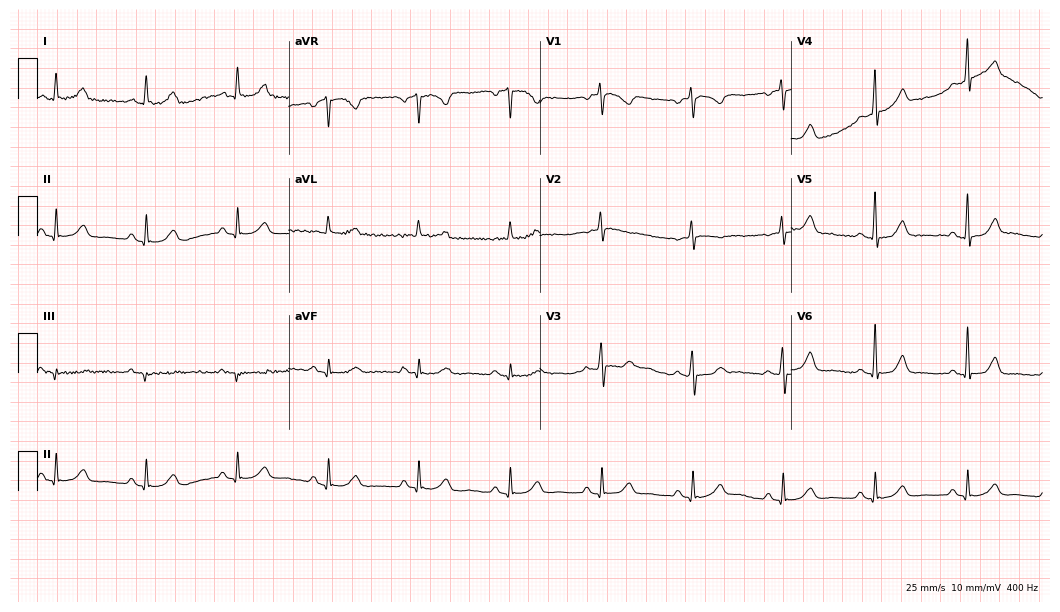
Electrocardiogram, a woman, 70 years old. Overall reading on record: normal ECG.